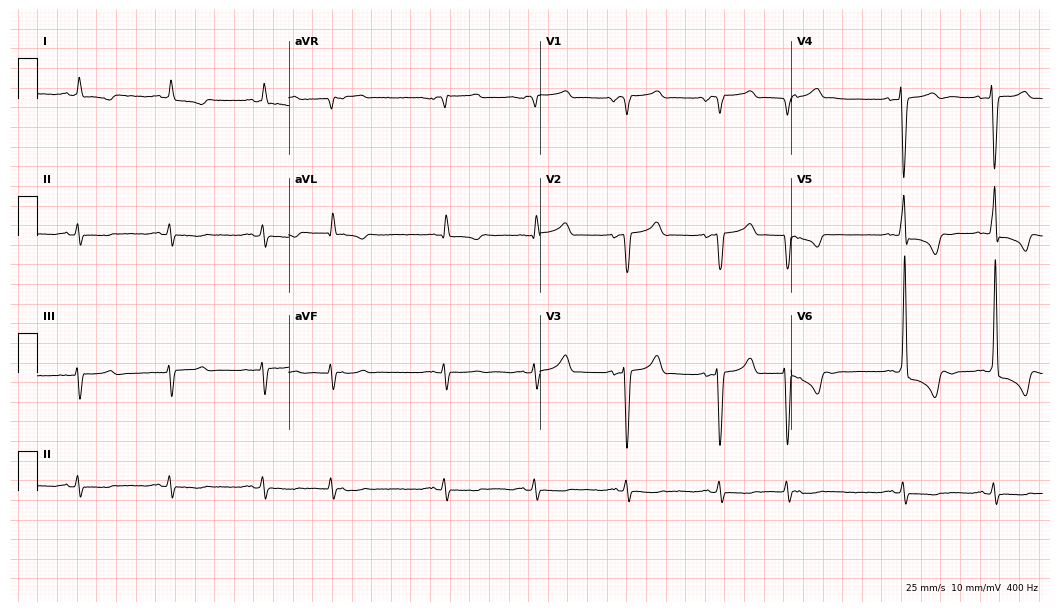
Standard 12-lead ECG recorded from a 69-year-old male (10.2-second recording at 400 Hz). None of these six findings is recorded: first-degree AV block, right bundle branch block, left bundle branch block, sinus bradycardia, atrial fibrillation, sinus tachycardia.